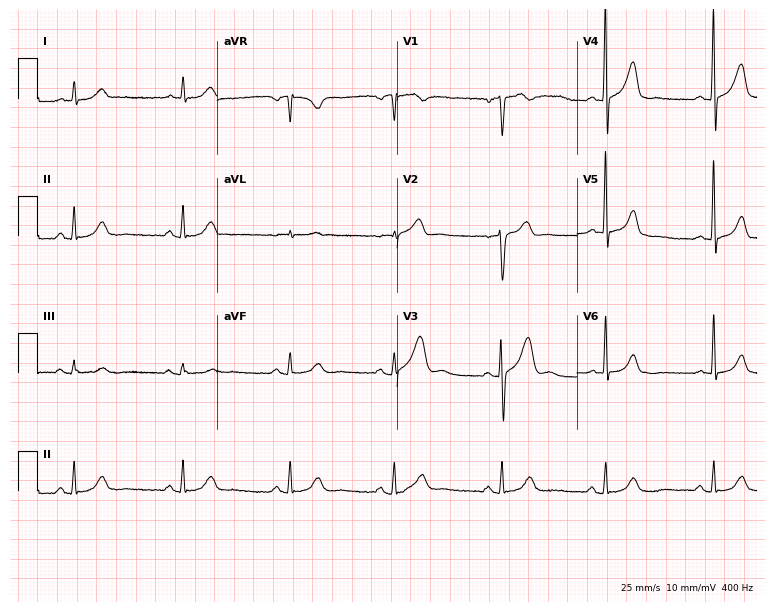
Resting 12-lead electrocardiogram (7.3-second recording at 400 Hz). Patient: a man, 48 years old. None of these six findings is recorded: first-degree AV block, right bundle branch block, left bundle branch block, sinus bradycardia, atrial fibrillation, sinus tachycardia.